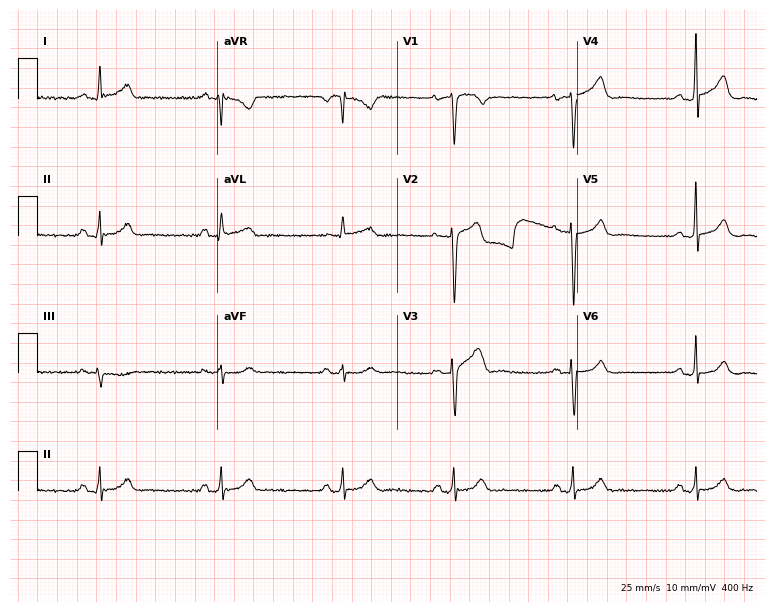
ECG — a male patient, 41 years old. Screened for six findings — first-degree AV block, right bundle branch block, left bundle branch block, sinus bradycardia, atrial fibrillation, sinus tachycardia — none is recorded. Findings outside these six are not listed.